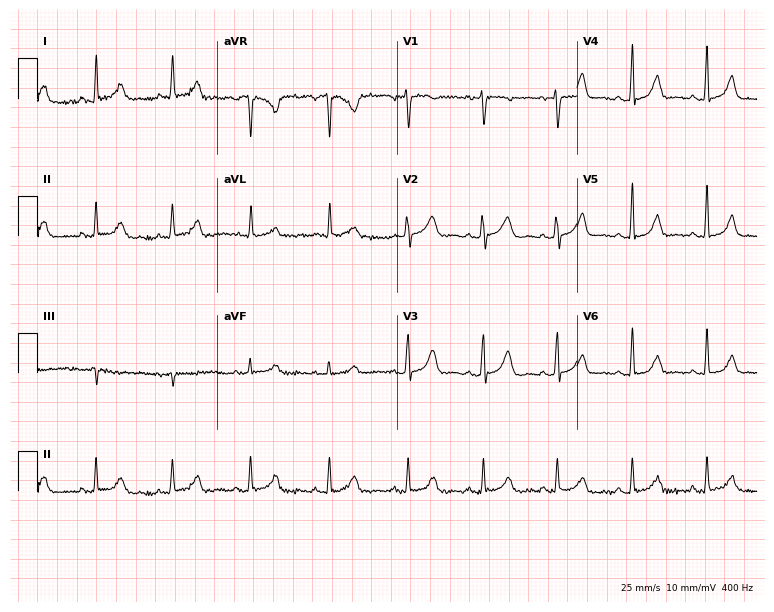
Standard 12-lead ECG recorded from a 37-year-old female patient. Read as a normal ECG.